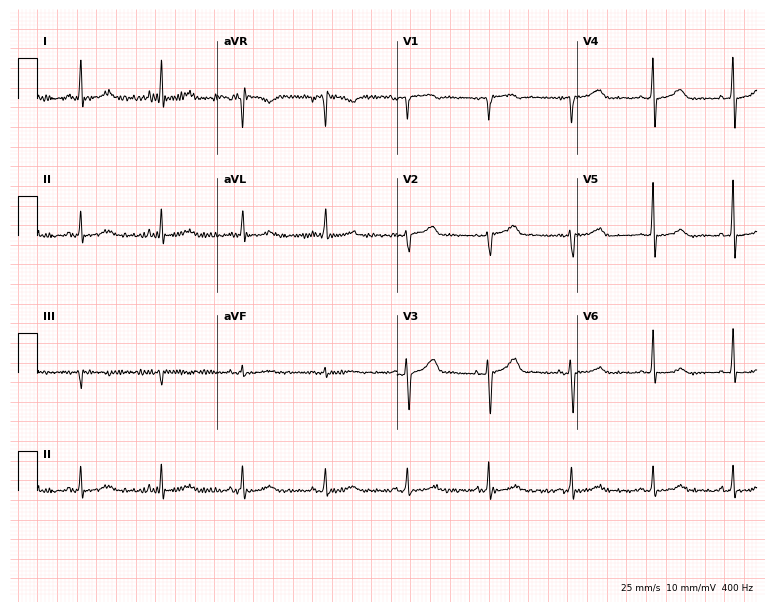
ECG (7.3-second recording at 400 Hz) — a 74-year-old female. Labelled as a normal ECG.